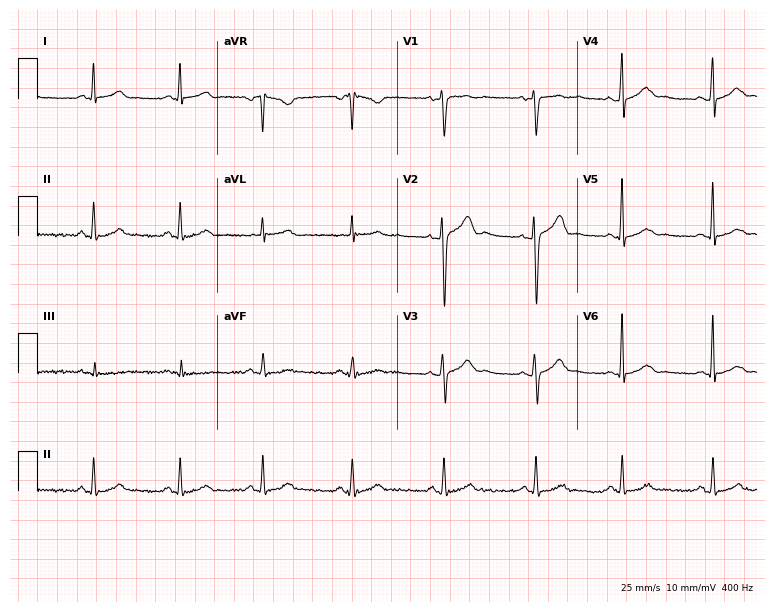
12-lead ECG from a man, 29 years old. Screened for six findings — first-degree AV block, right bundle branch block, left bundle branch block, sinus bradycardia, atrial fibrillation, sinus tachycardia — none is recorded. Only these six findings were labelled.